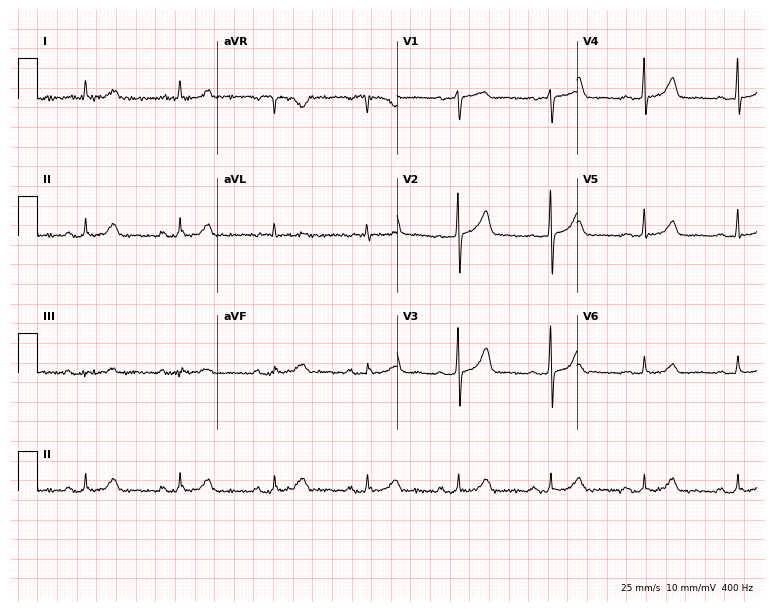
ECG — a female, 72 years old. Screened for six findings — first-degree AV block, right bundle branch block, left bundle branch block, sinus bradycardia, atrial fibrillation, sinus tachycardia — none is recorded. Findings outside these six are not listed.